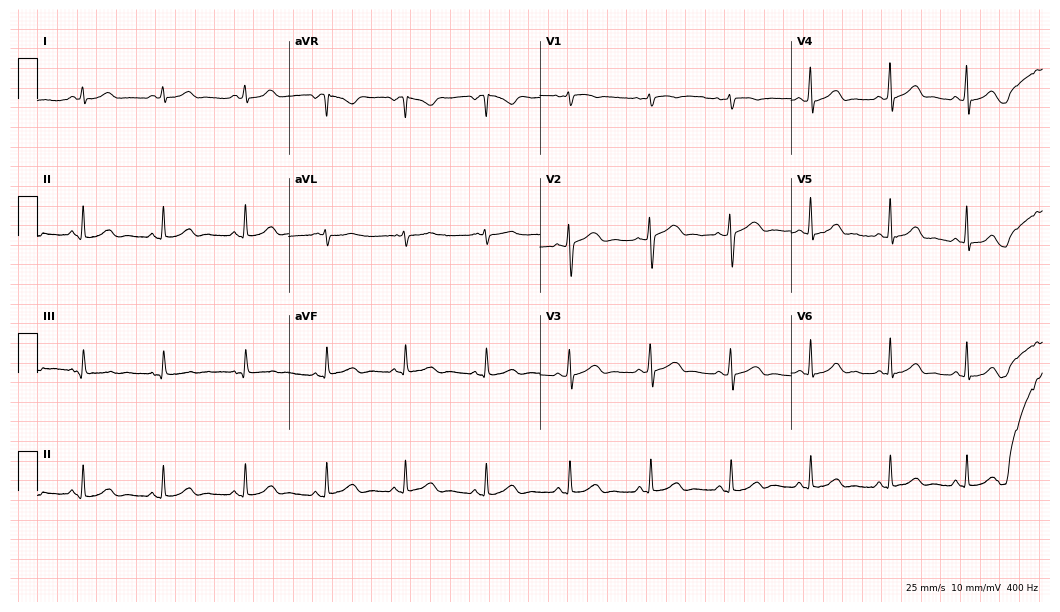
Standard 12-lead ECG recorded from a 42-year-old woman. None of these six findings is recorded: first-degree AV block, right bundle branch block (RBBB), left bundle branch block (LBBB), sinus bradycardia, atrial fibrillation (AF), sinus tachycardia. Only these six findings were labelled.